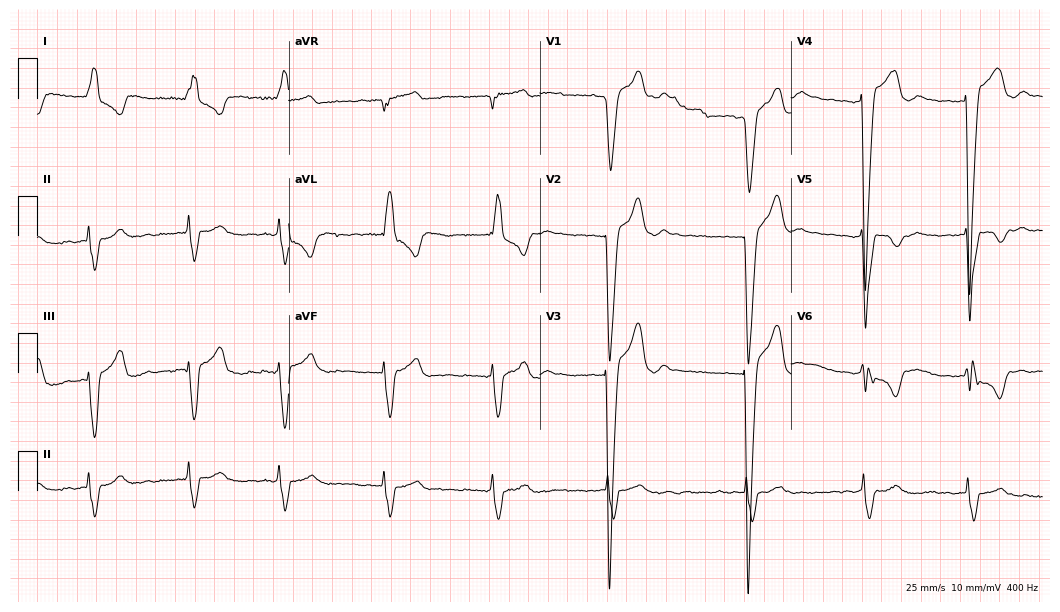
12-lead ECG from a woman, 77 years old. Shows left bundle branch block, atrial fibrillation.